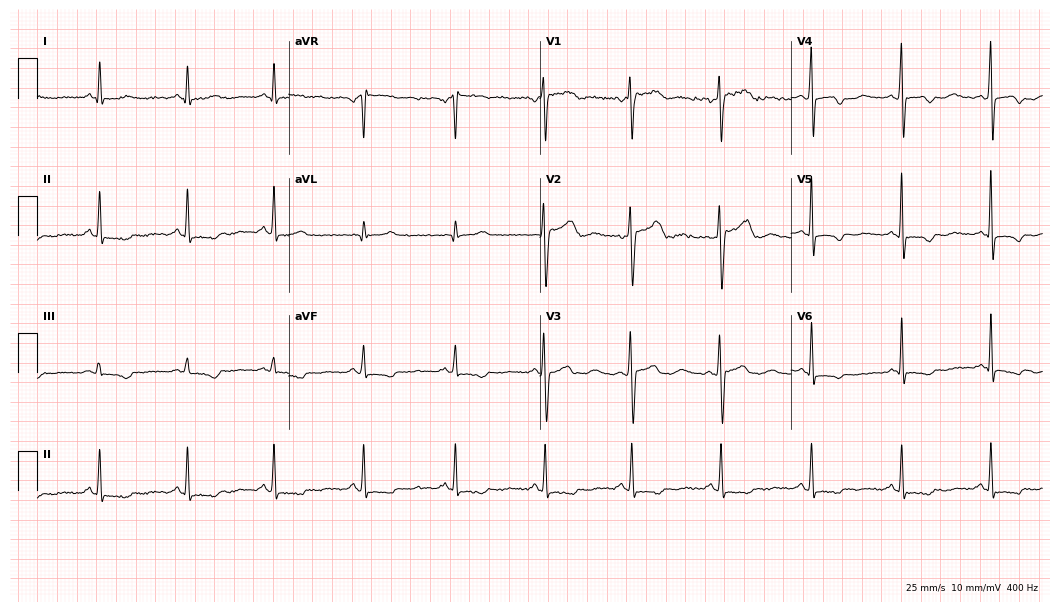
ECG (10.2-second recording at 400 Hz) — a man, 85 years old. Screened for six findings — first-degree AV block, right bundle branch block (RBBB), left bundle branch block (LBBB), sinus bradycardia, atrial fibrillation (AF), sinus tachycardia — none is recorded.